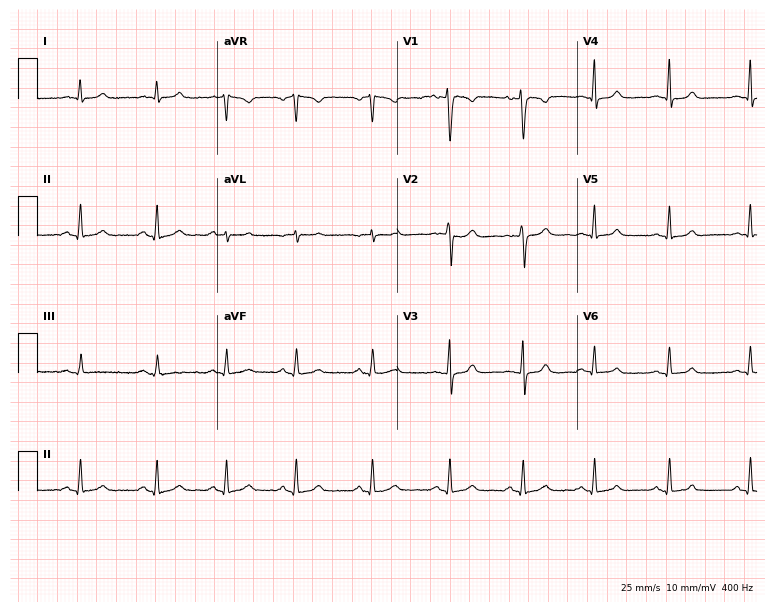
ECG — a 32-year-old female. Labelled as a normal ECG.